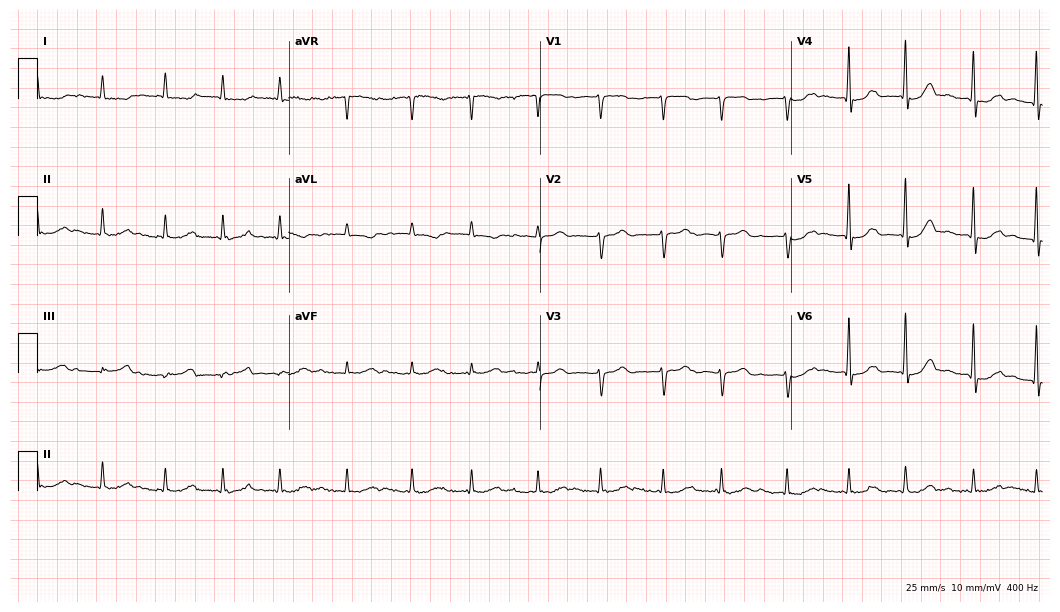
12-lead ECG from an 80-year-old man (10.2-second recording at 400 Hz). Recorded interpretation: within normal limits.